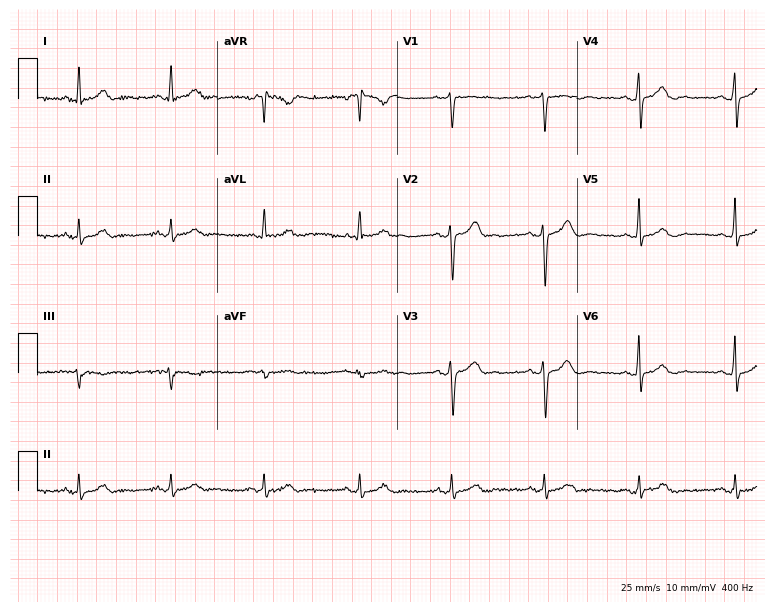
Resting 12-lead electrocardiogram (7.3-second recording at 400 Hz). Patient: a 37-year-old male. Read as a normal ECG.